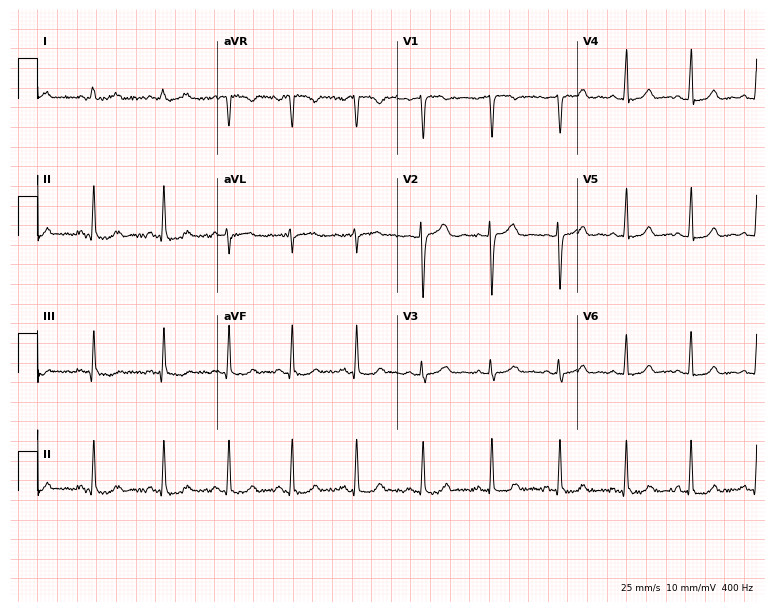
Electrocardiogram (7.3-second recording at 400 Hz), a 27-year-old female patient. Of the six screened findings (first-degree AV block, right bundle branch block (RBBB), left bundle branch block (LBBB), sinus bradycardia, atrial fibrillation (AF), sinus tachycardia), none is recorded.